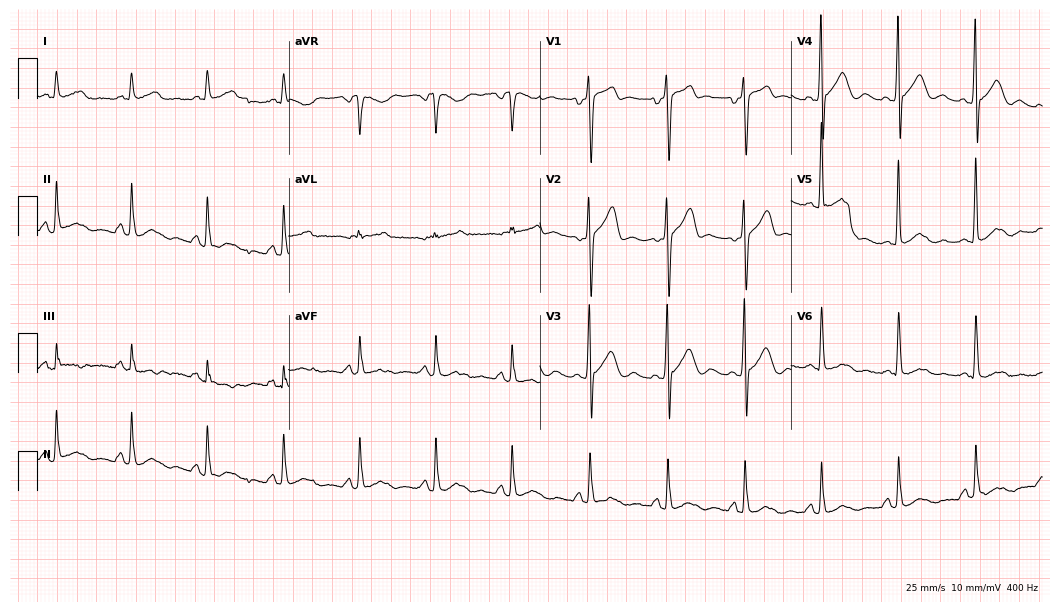
Electrocardiogram, a male patient, 55 years old. Of the six screened findings (first-degree AV block, right bundle branch block (RBBB), left bundle branch block (LBBB), sinus bradycardia, atrial fibrillation (AF), sinus tachycardia), none is recorded. Other findings, if any, are not listed.